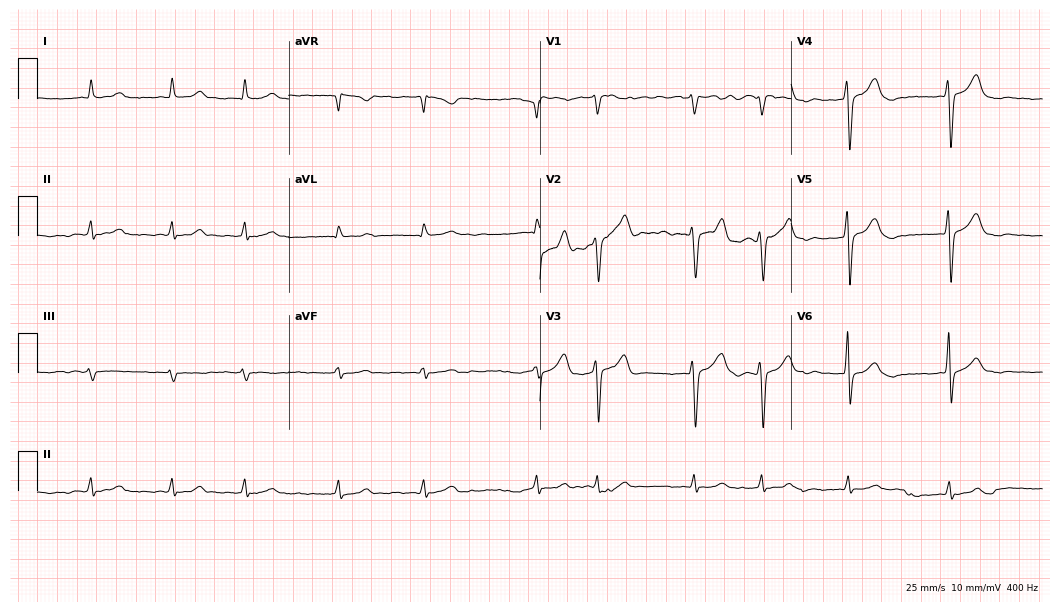
12-lead ECG (10.2-second recording at 400 Hz) from a 76-year-old man. Screened for six findings — first-degree AV block, right bundle branch block (RBBB), left bundle branch block (LBBB), sinus bradycardia, atrial fibrillation (AF), sinus tachycardia — none is recorded. Other findings, if any, are not listed.